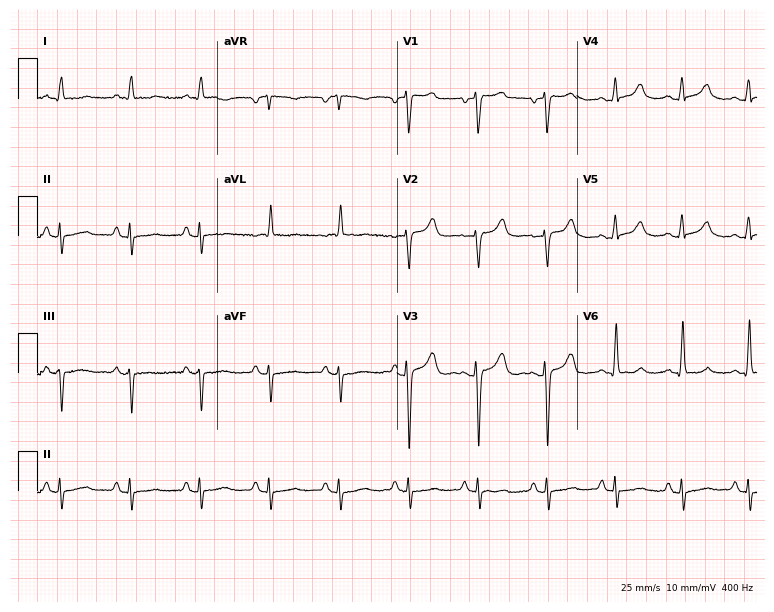
Standard 12-lead ECG recorded from a 73-year-old female patient. Read as a normal ECG.